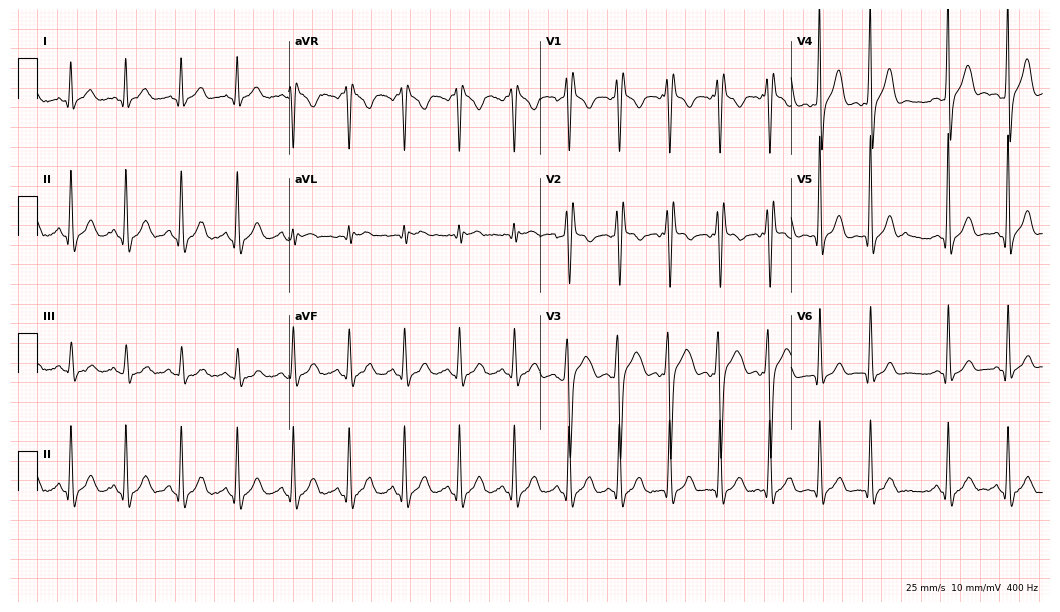
ECG — a 21-year-old male. Findings include sinus tachycardia (a sinus rate of 100 beats per minute or more).